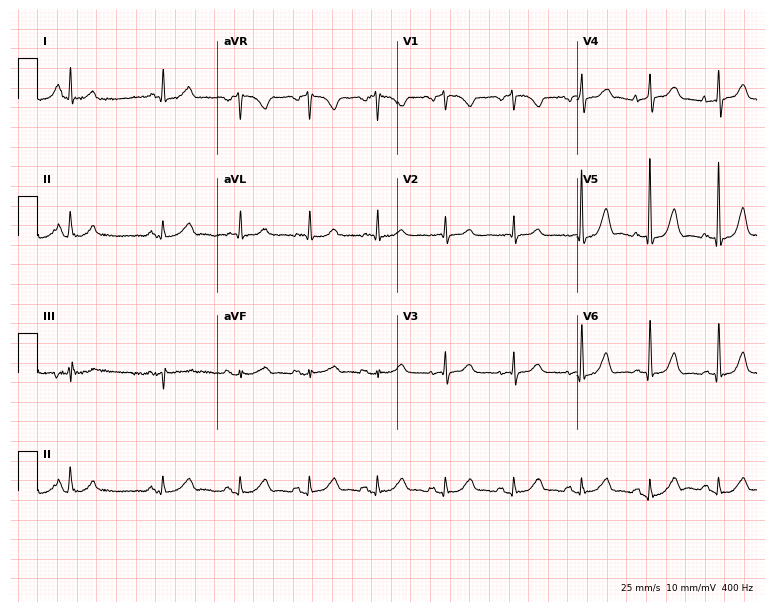
ECG (7.3-second recording at 400 Hz) — a woman, 78 years old. Labelled as a normal ECG.